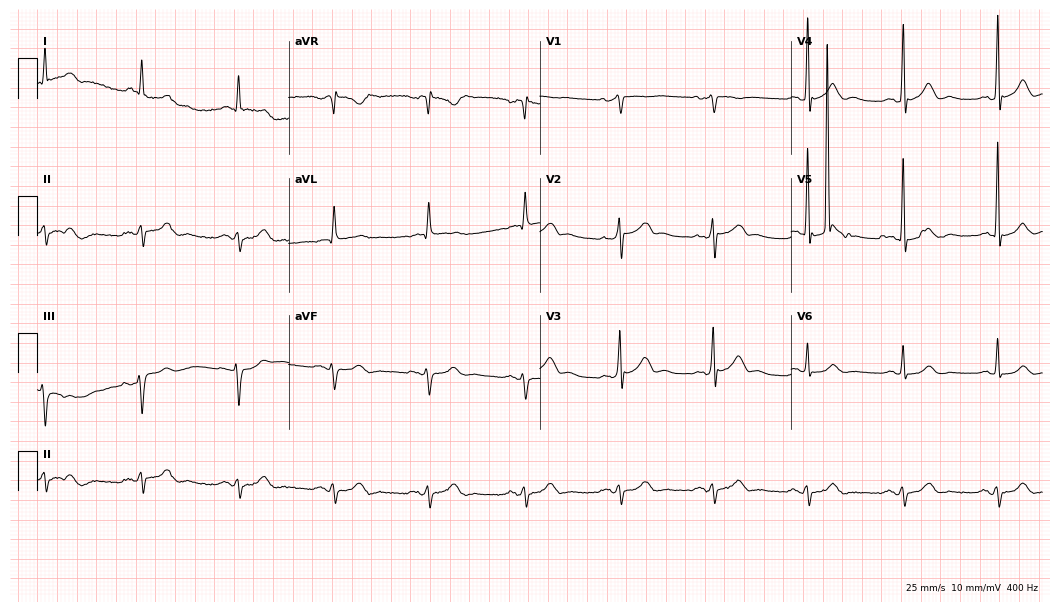
12-lead ECG from a male patient, 61 years old (10.2-second recording at 400 Hz). No first-degree AV block, right bundle branch block (RBBB), left bundle branch block (LBBB), sinus bradycardia, atrial fibrillation (AF) or sinus tachycardia recorded for this tracing. Findings outside these six are not listed.